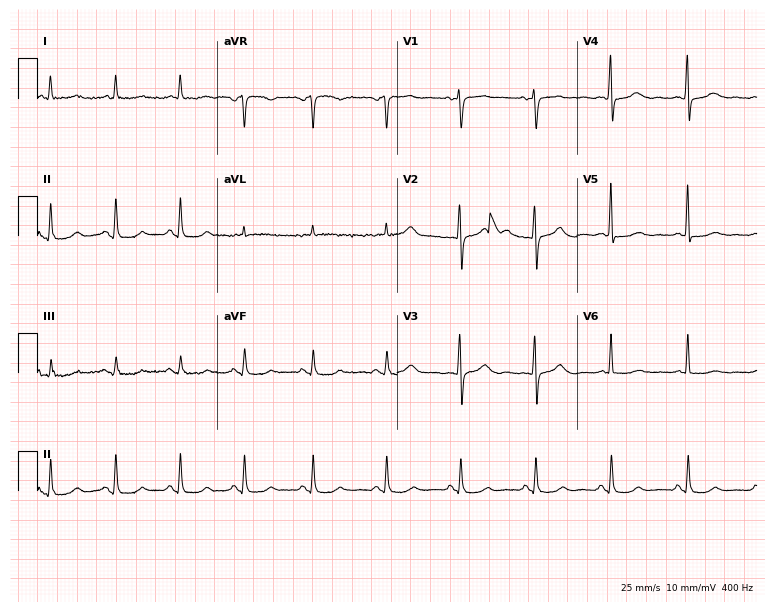
12-lead ECG from a 67-year-old female patient. No first-degree AV block, right bundle branch block (RBBB), left bundle branch block (LBBB), sinus bradycardia, atrial fibrillation (AF) or sinus tachycardia recorded for this tracing. Other findings, if any, are not listed.